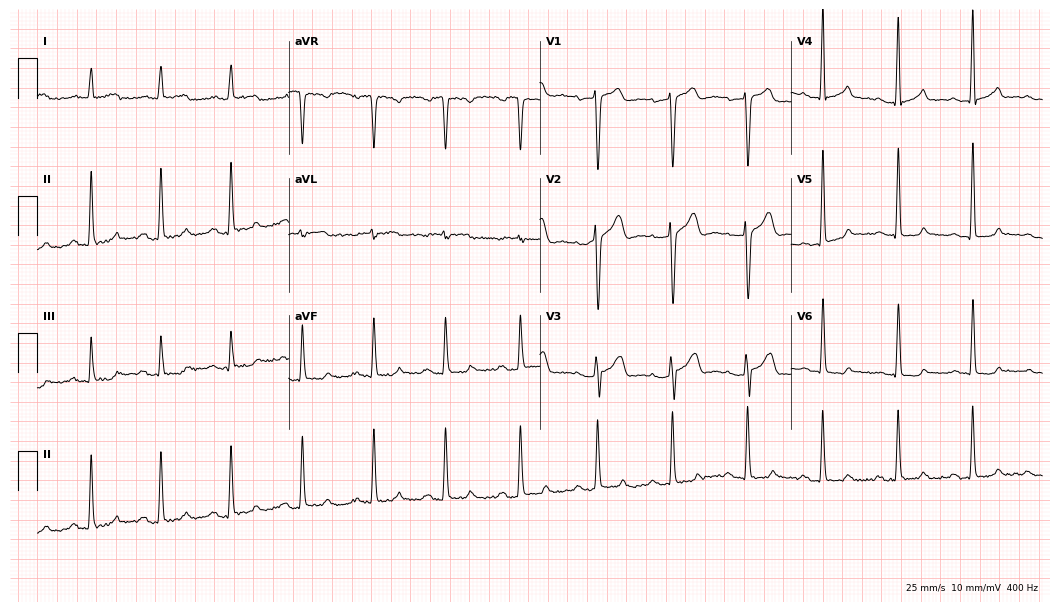
Resting 12-lead electrocardiogram (10.2-second recording at 400 Hz). Patient: a 55-year-old male. Read as a normal ECG.